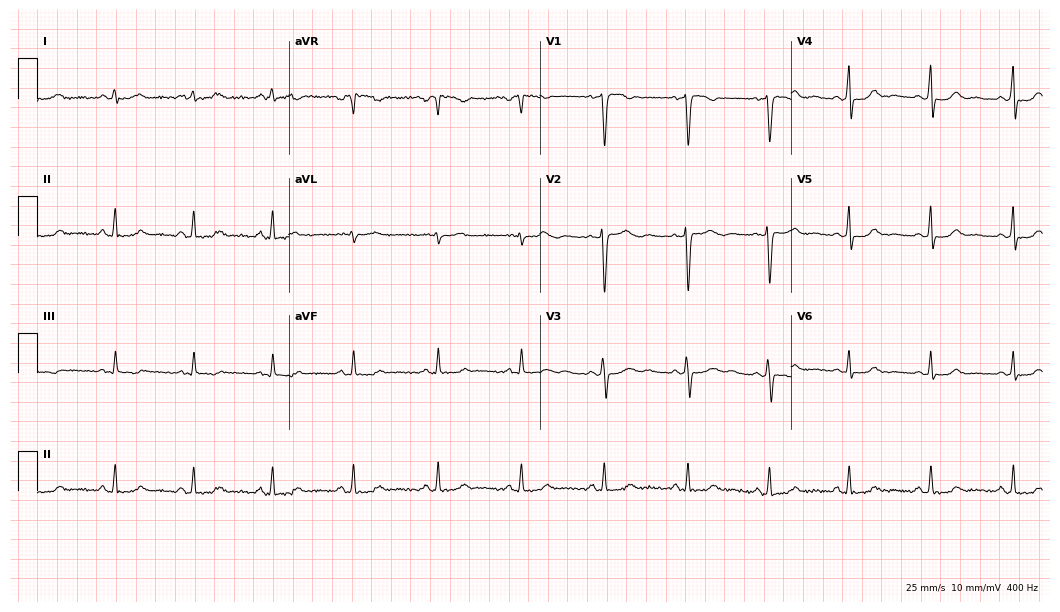
ECG — a female patient, 36 years old. Labelled as a normal ECG.